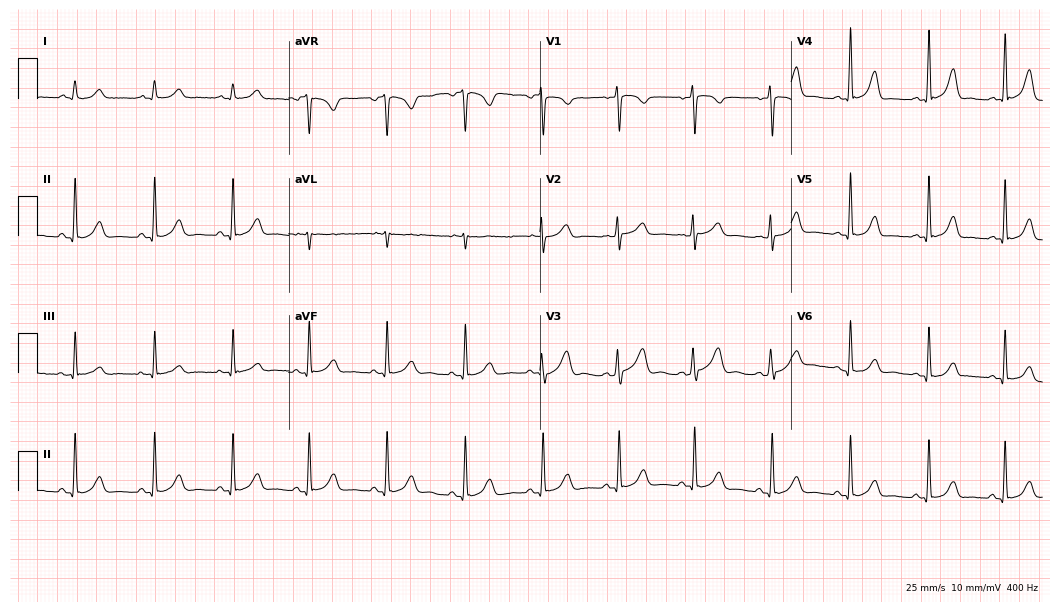
12-lead ECG from a woman, 42 years old. Recorded interpretation: within normal limits.